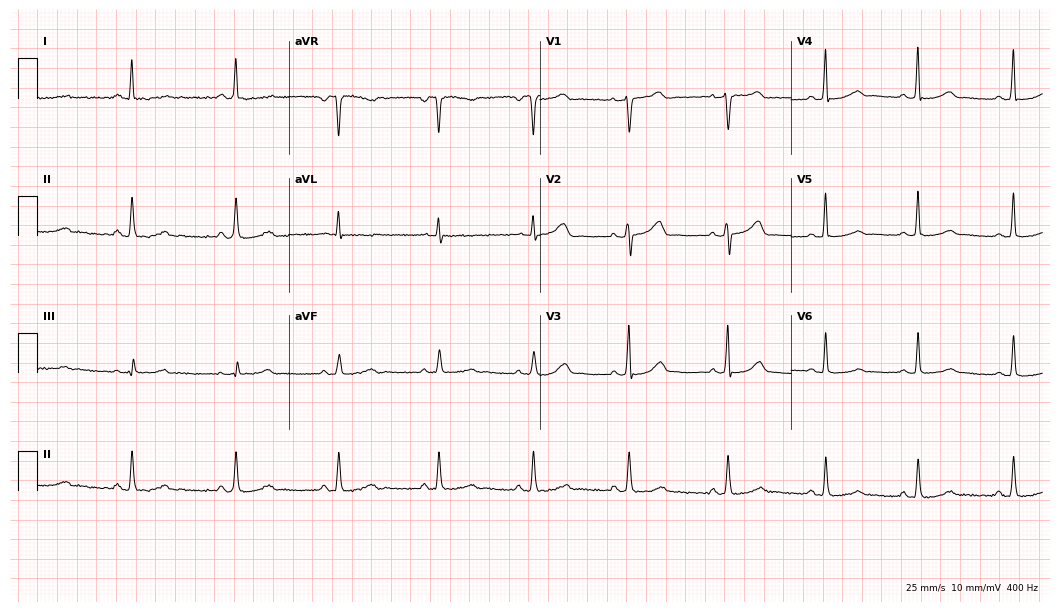
Resting 12-lead electrocardiogram (10.2-second recording at 400 Hz). Patient: a female, 49 years old. Read as a normal ECG.